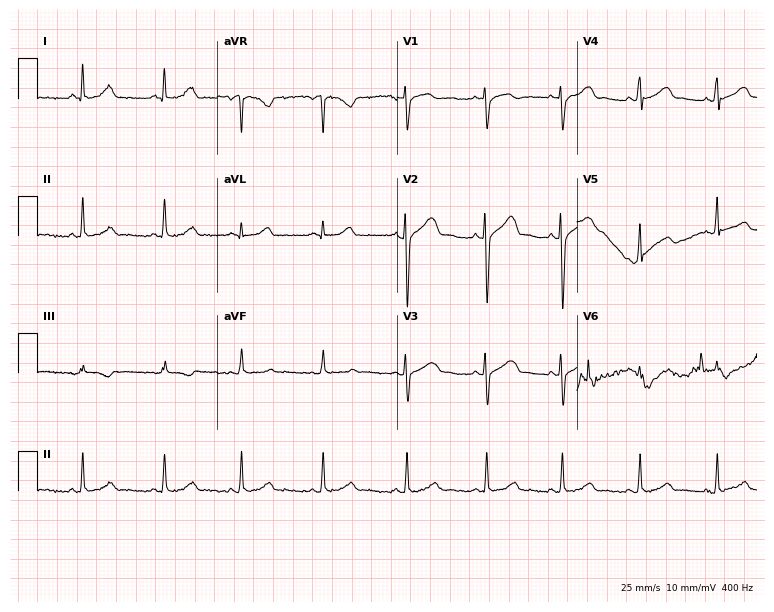
Electrocardiogram, a 33-year-old female. Of the six screened findings (first-degree AV block, right bundle branch block, left bundle branch block, sinus bradycardia, atrial fibrillation, sinus tachycardia), none is recorded. Findings outside these six are not listed.